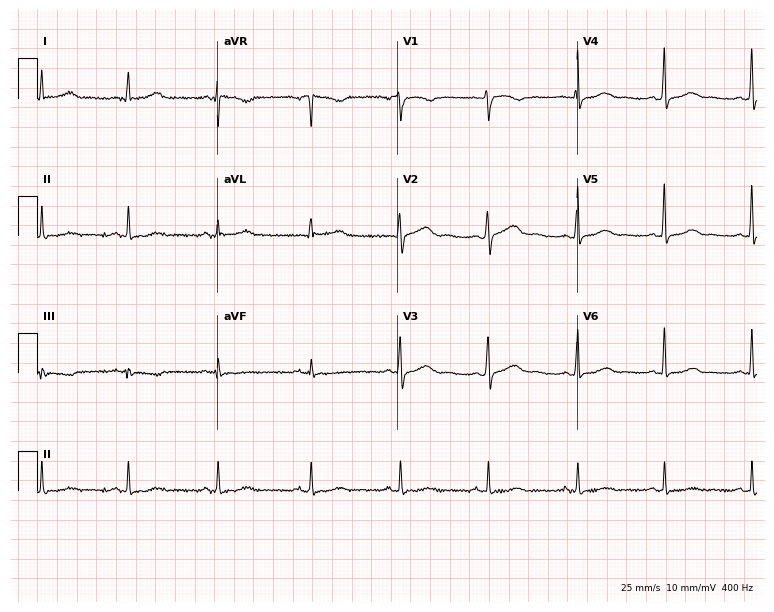
12-lead ECG (7.3-second recording at 400 Hz) from a female patient, 33 years old. Labelled as a normal ECG.